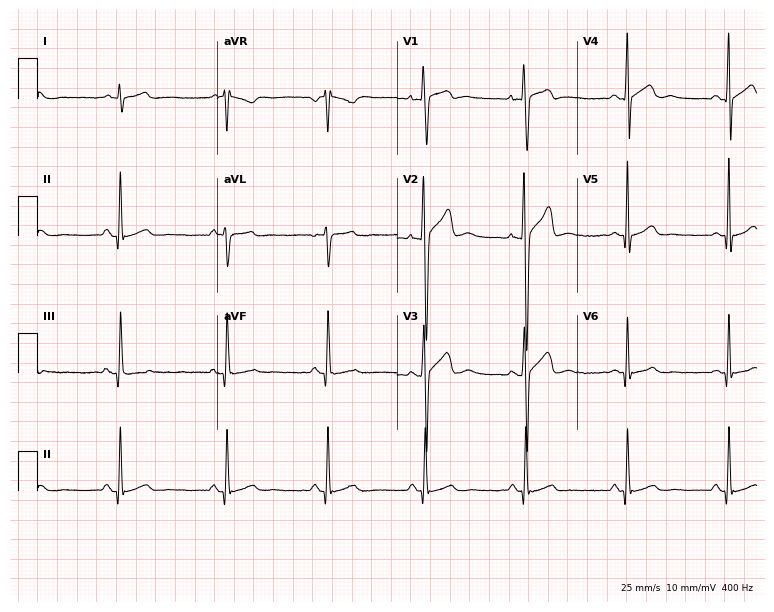
Standard 12-lead ECG recorded from a man, 23 years old. None of these six findings is recorded: first-degree AV block, right bundle branch block, left bundle branch block, sinus bradycardia, atrial fibrillation, sinus tachycardia. Only these six findings were labelled.